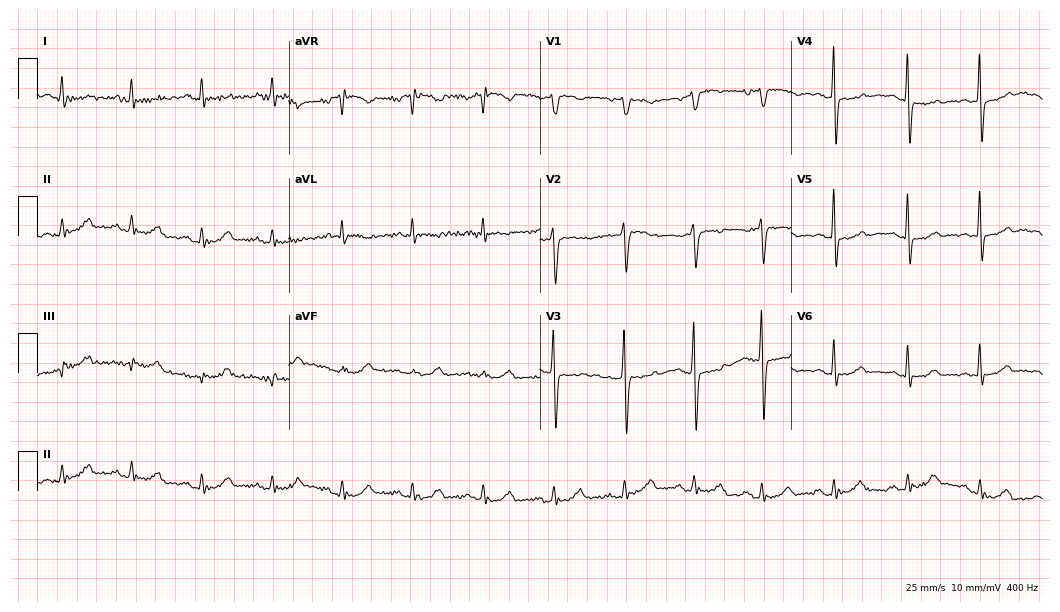
Standard 12-lead ECG recorded from a woman, 69 years old. Read as a normal ECG.